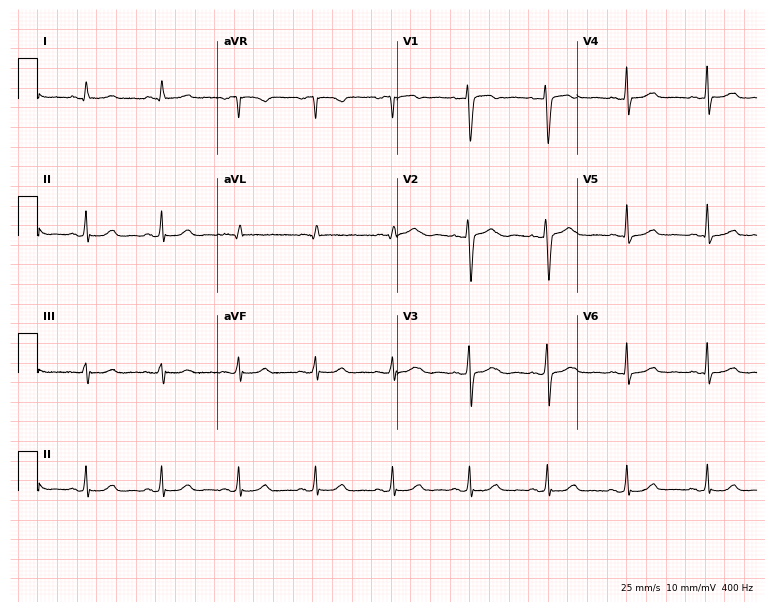
ECG — a woman, 42 years old. Screened for six findings — first-degree AV block, right bundle branch block, left bundle branch block, sinus bradycardia, atrial fibrillation, sinus tachycardia — none is recorded.